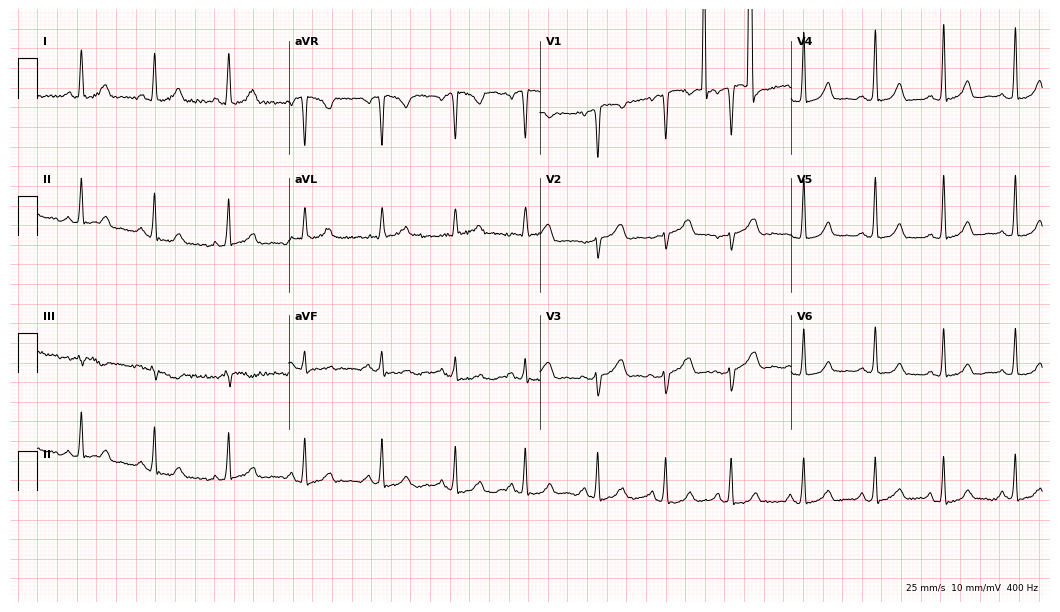
Resting 12-lead electrocardiogram. Patient: a female, 50 years old. Read as a normal ECG.